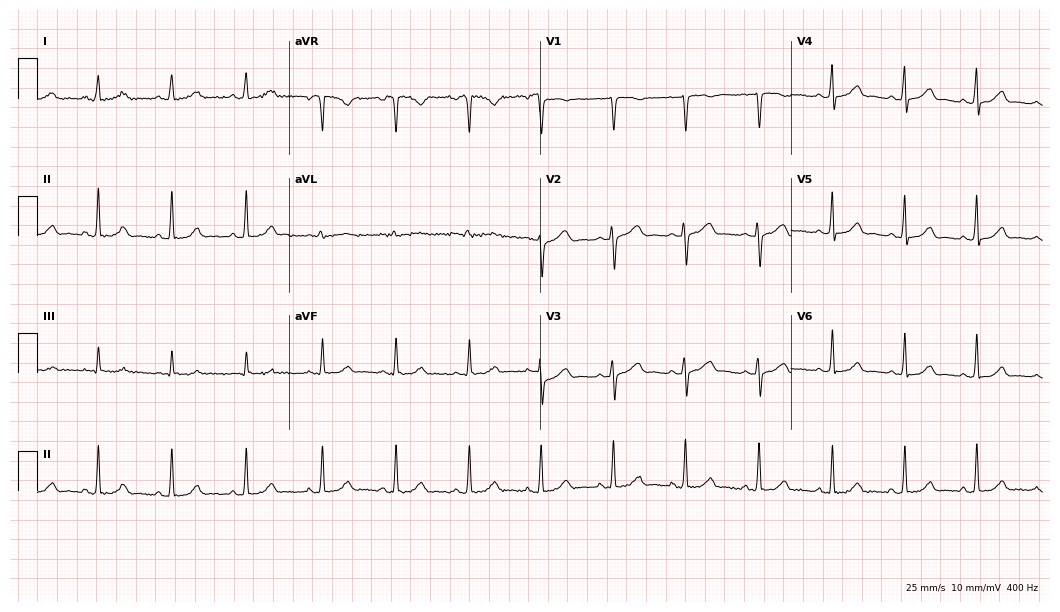
Electrocardiogram, a female patient, 40 years old. Overall reading on record: normal ECG.